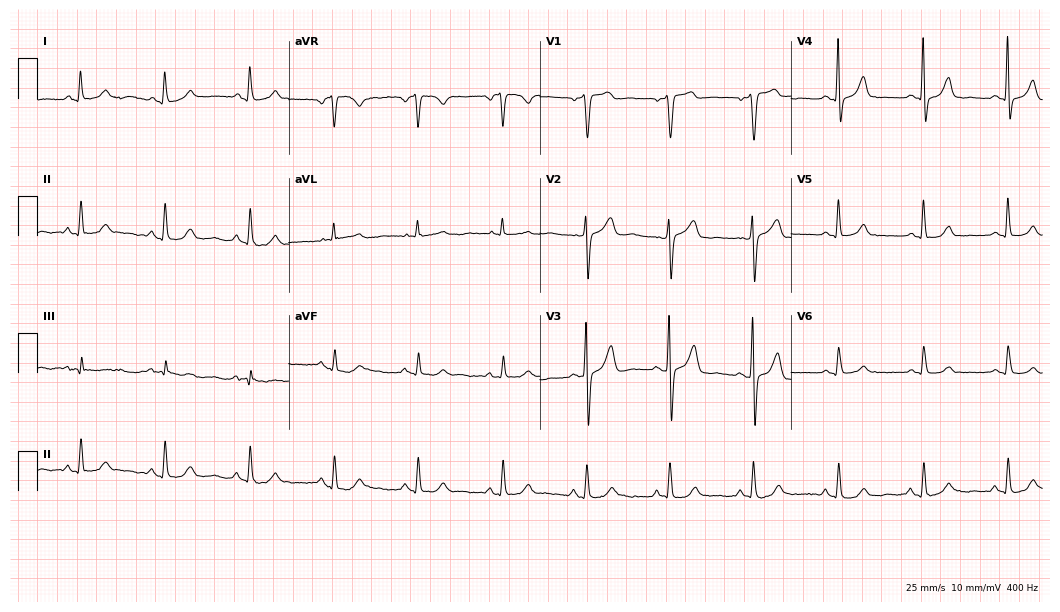
Electrocardiogram, a male, 67 years old. Of the six screened findings (first-degree AV block, right bundle branch block, left bundle branch block, sinus bradycardia, atrial fibrillation, sinus tachycardia), none is recorded.